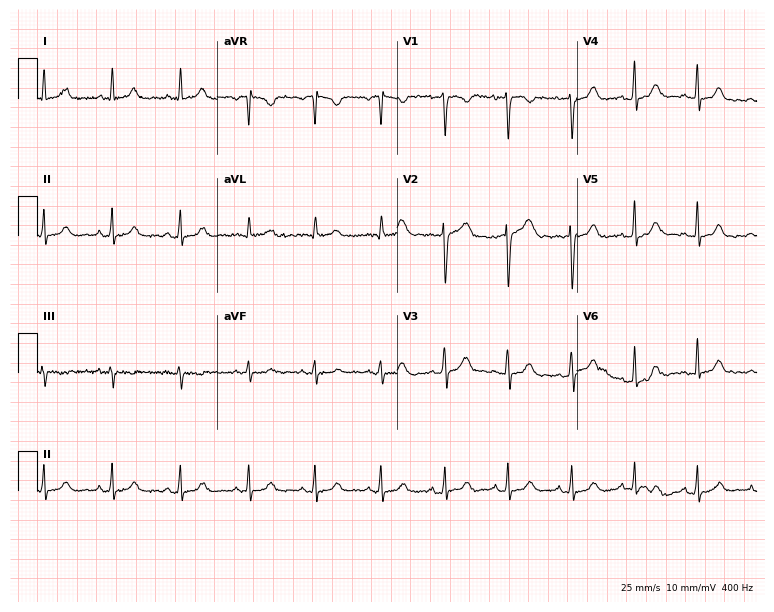
ECG — a 31-year-old female patient. Screened for six findings — first-degree AV block, right bundle branch block, left bundle branch block, sinus bradycardia, atrial fibrillation, sinus tachycardia — none is recorded. Findings outside these six are not listed.